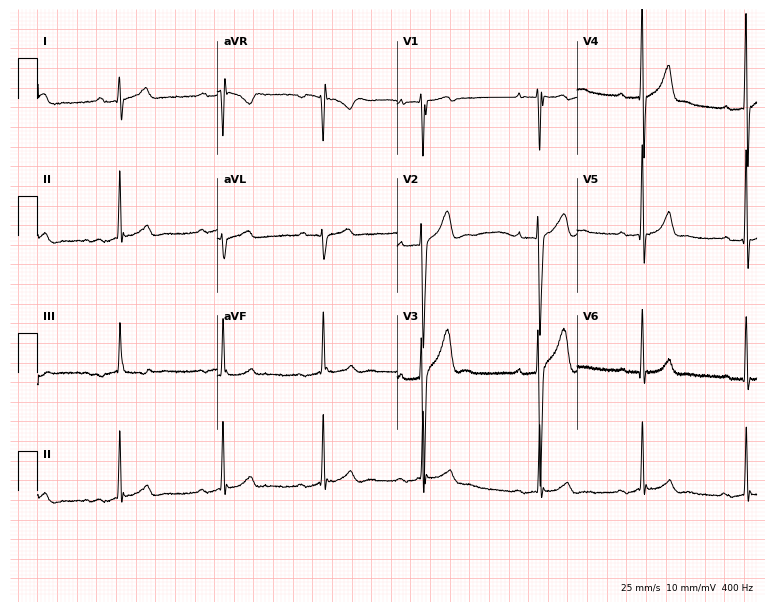
12-lead ECG (7.3-second recording at 400 Hz) from a man, 20 years old. Labelled as a normal ECG.